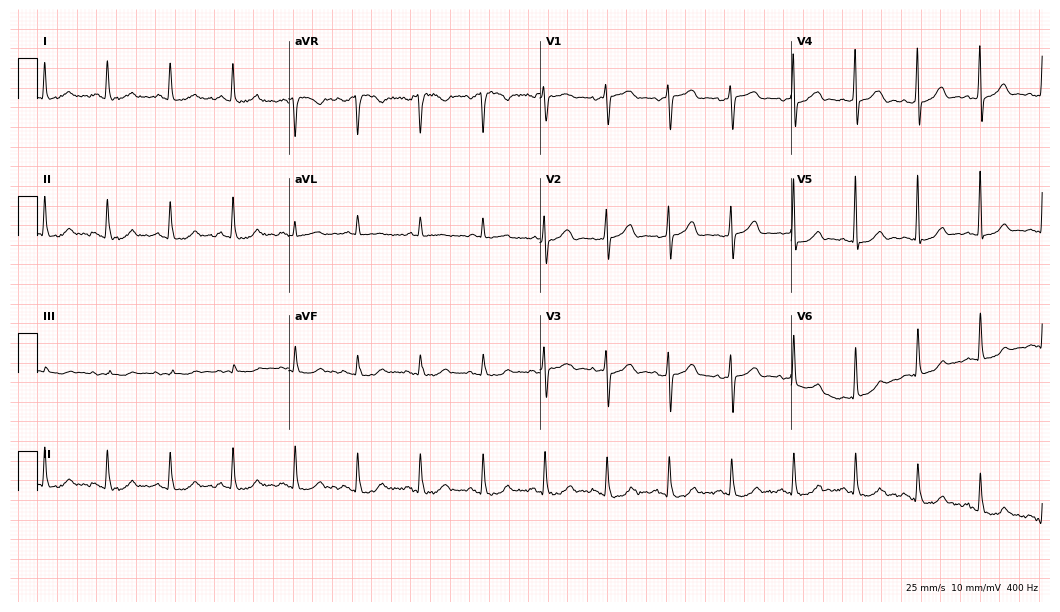
Electrocardiogram (10.2-second recording at 400 Hz), a woman, 79 years old. Of the six screened findings (first-degree AV block, right bundle branch block (RBBB), left bundle branch block (LBBB), sinus bradycardia, atrial fibrillation (AF), sinus tachycardia), none is recorded.